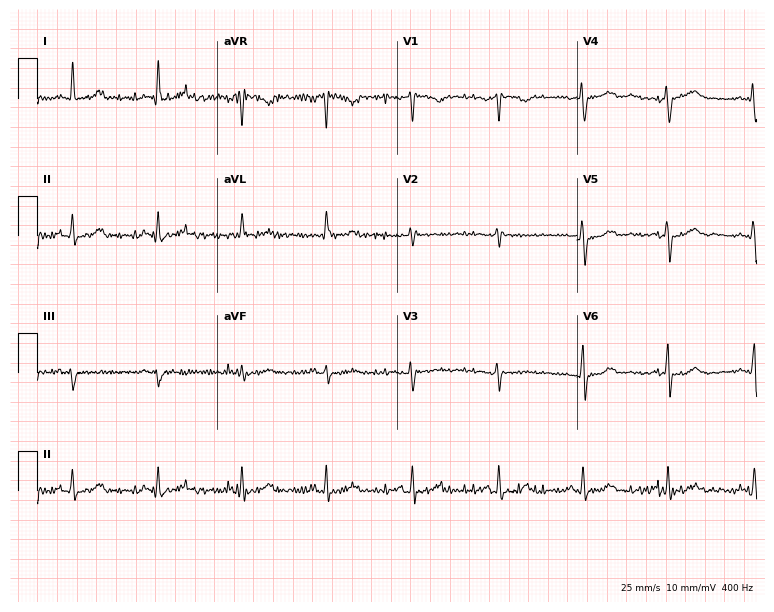
Standard 12-lead ECG recorded from a 55-year-old female. None of these six findings is recorded: first-degree AV block, right bundle branch block, left bundle branch block, sinus bradycardia, atrial fibrillation, sinus tachycardia.